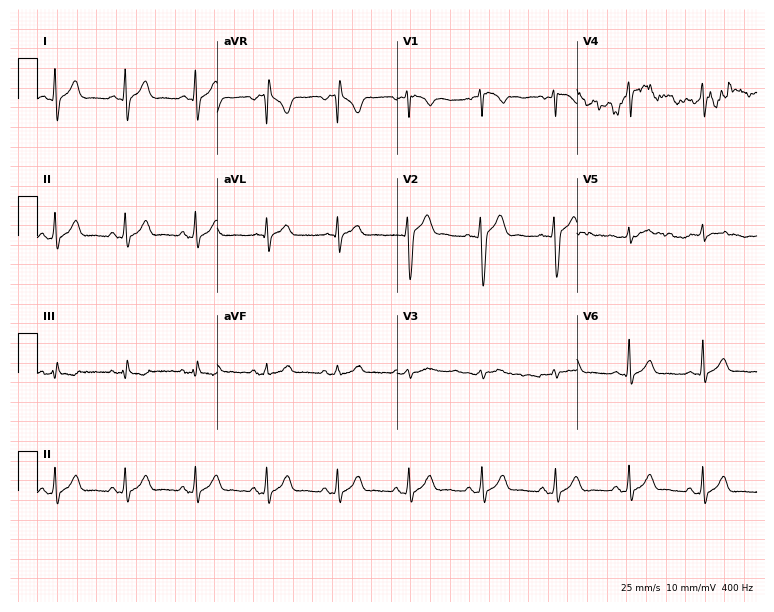
12-lead ECG from a male patient, 25 years old. Screened for six findings — first-degree AV block, right bundle branch block, left bundle branch block, sinus bradycardia, atrial fibrillation, sinus tachycardia — none is recorded. Other findings, if any, are not listed.